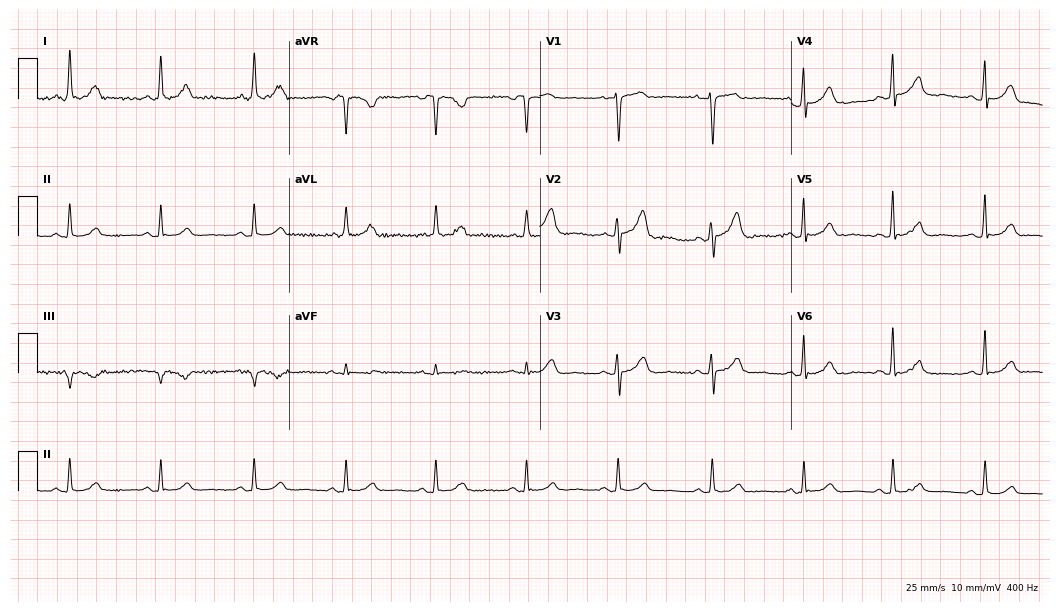
ECG — a 63-year-old woman. Labelled as a normal ECG.